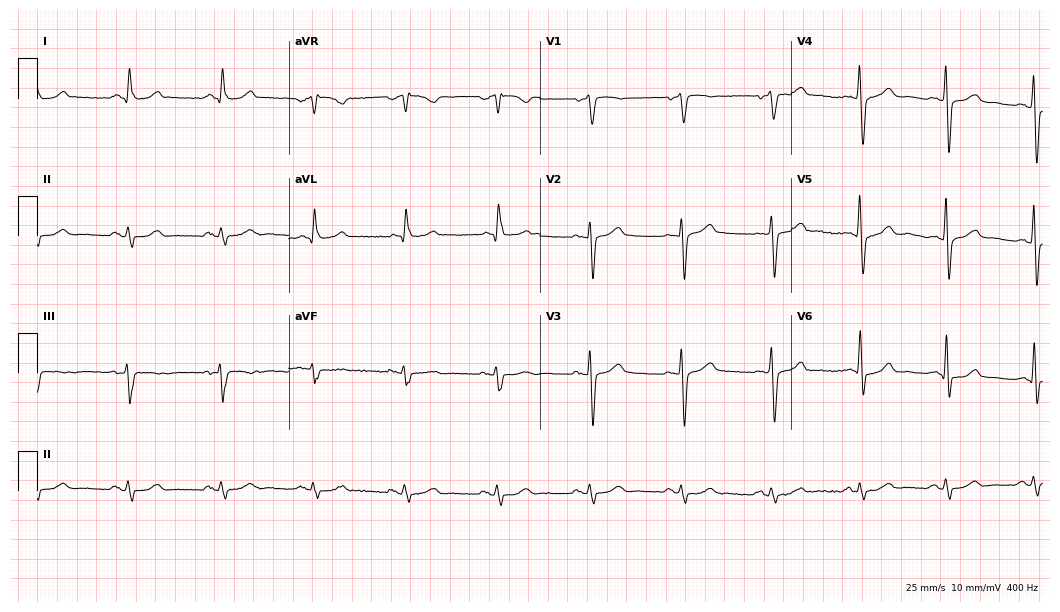
ECG (10.2-second recording at 400 Hz) — a male patient, 68 years old. Screened for six findings — first-degree AV block, right bundle branch block, left bundle branch block, sinus bradycardia, atrial fibrillation, sinus tachycardia — none is recorded.